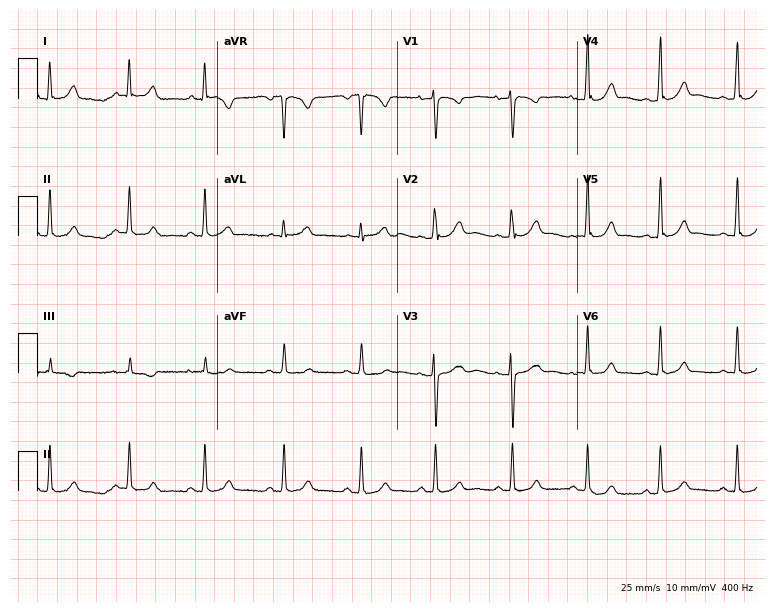
12-lead ECG from a 19-year-old woman. Recorded interpretation: within normal limits.